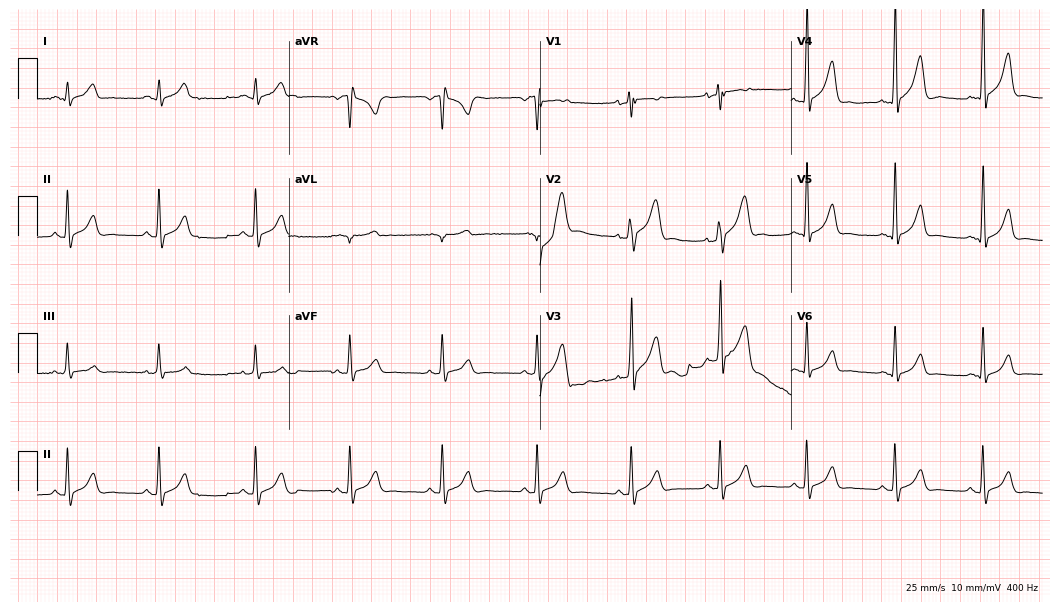
Electrocardiogram (10.2-second recording at 400 Hz), a 26-year-old man. Overall reading on record: normal ECG.